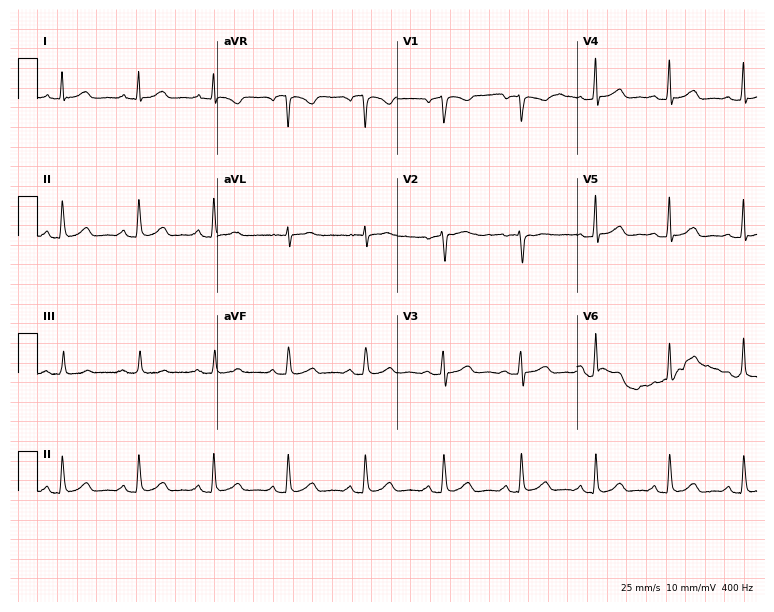
Standard 12-lead ECG recorded from a 47-year-old woman. Read as a normal ECG.